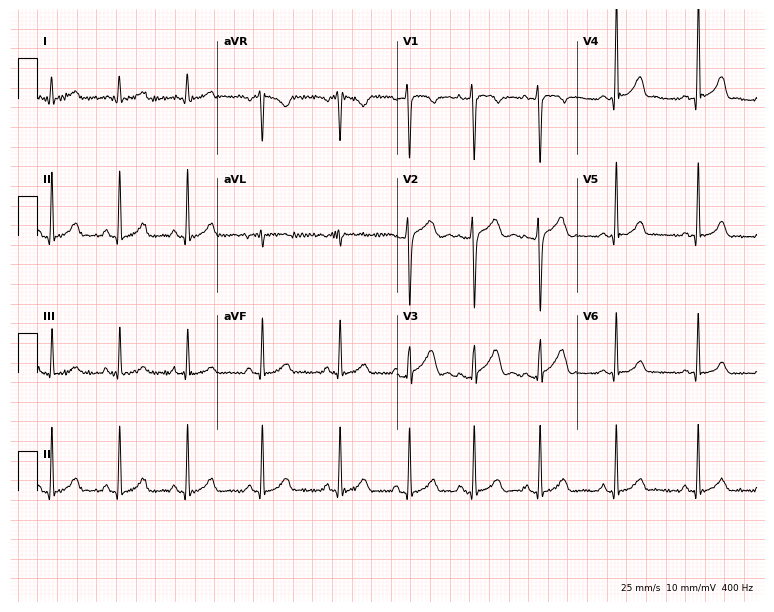
ECG — a man, 17 years old. Labelled as a normal ECG.